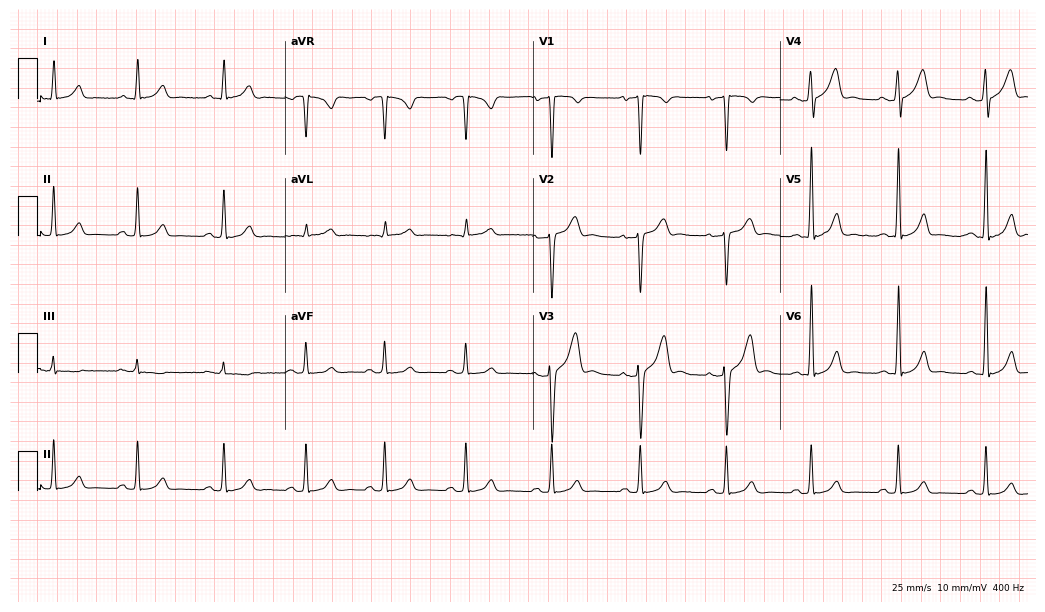
ECG — a 26-year-old man. Labelled as a normal ECG.